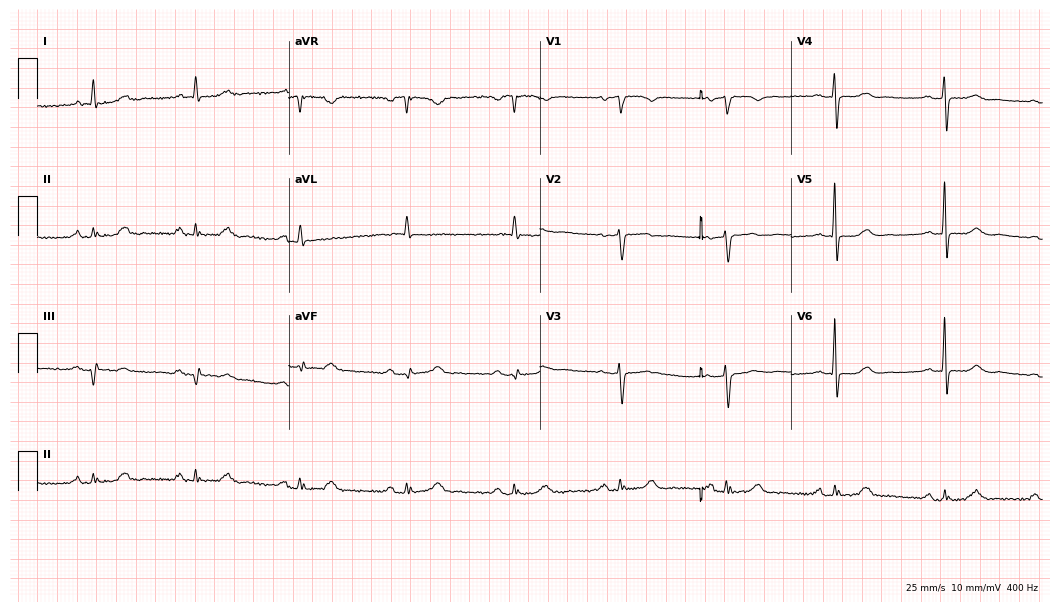
12-lead ECG (10.2-second recording at 400 Hz) from a female patient, 77 years old. Screened for six findings — first-degree AV block, right bundle branch block (RBBB), left bundle branch block (LBBB), sinus bradycardia, atrial fibrillation (AF), sinus tachycardia — none is recorded. Other findings, if any, are not listed.